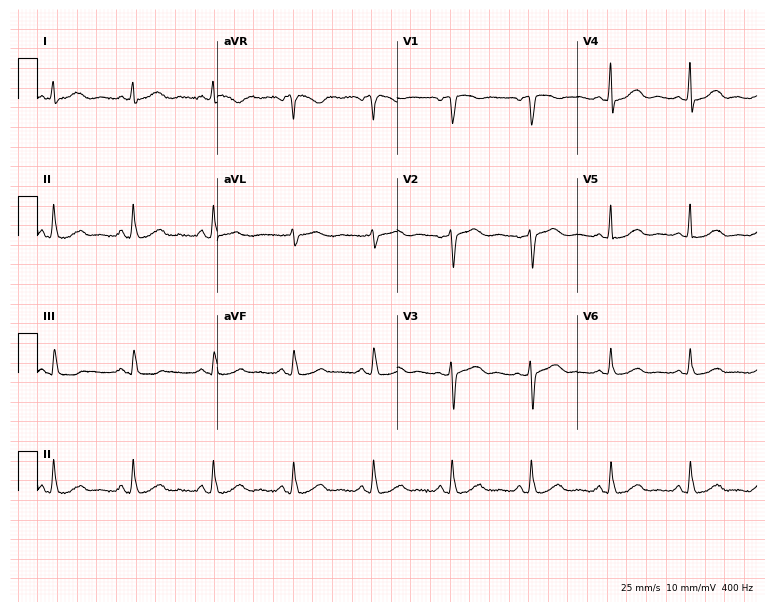
12-lead ECG from a female, 56 years old. Labelled as a normal ECG.